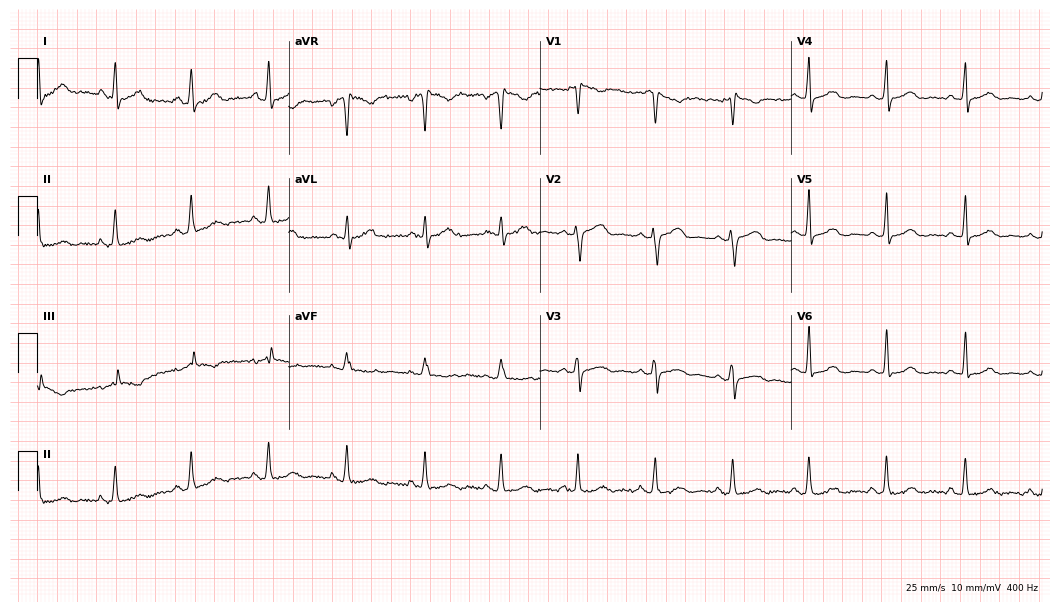
12-lead ECG (10.2-second recording at 400 Hz) from a 39-year-old female. Labelled as a normal ECG.